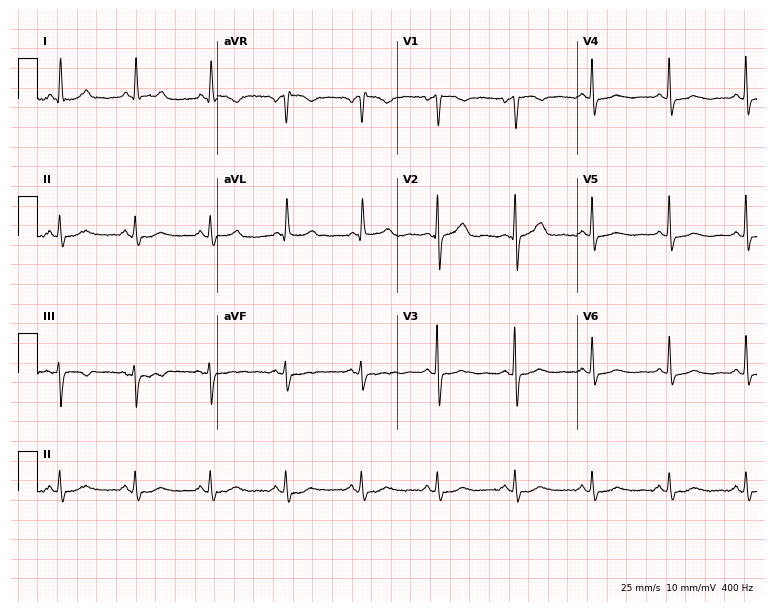
Electrocardiogram, a female, 63 years old. Of the six screened findings (first-degree AV block, right bundle branch block, left bundle branch block, sinus bradycardia, atrial fibrillation, sinus tachycardia), none is recorded.